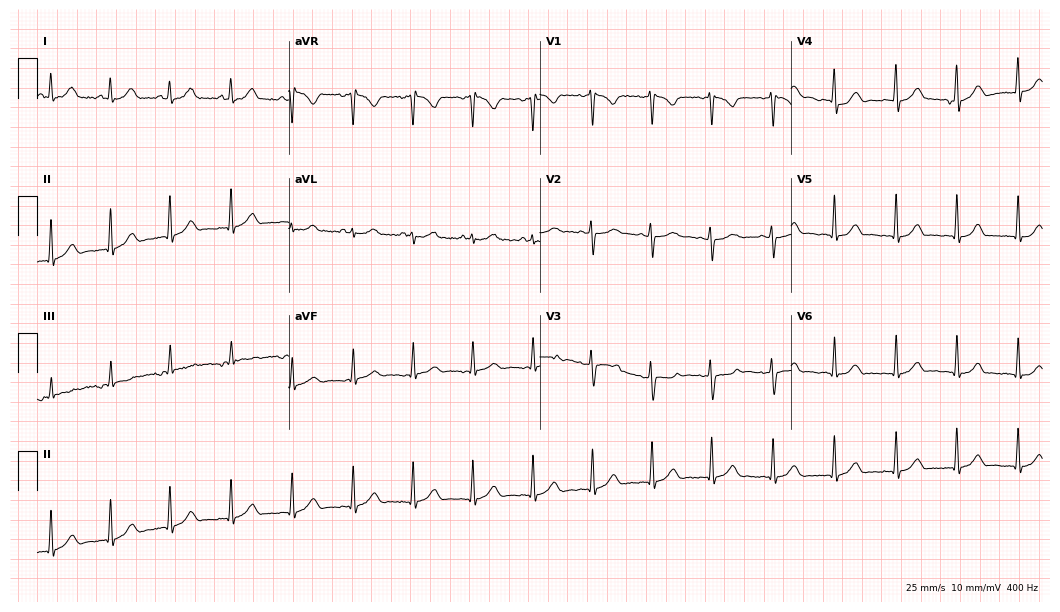
ECG (10.2-second recording at 400 Hz) — a female, 38 years old. Labelled as a normal ECG.